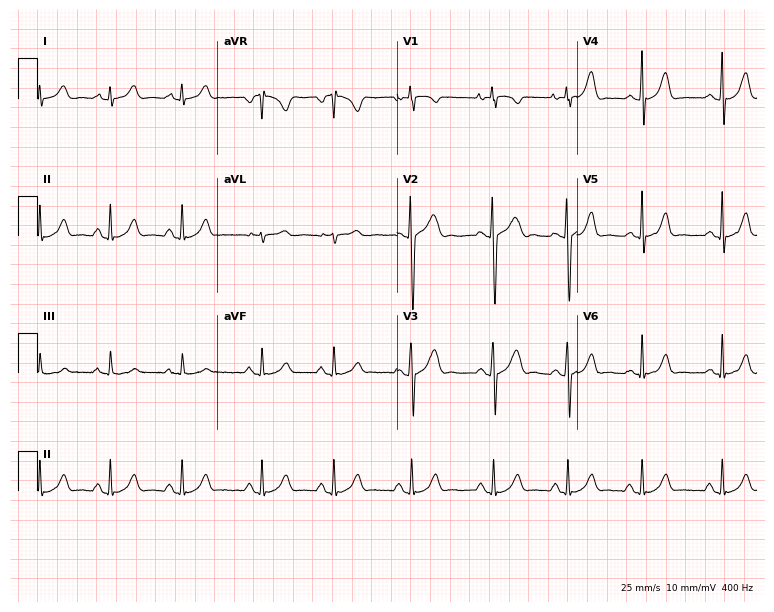
Resting 12-lead electrocardiogram. Patient: a woman, 17 years old. Read as a normal ECG.